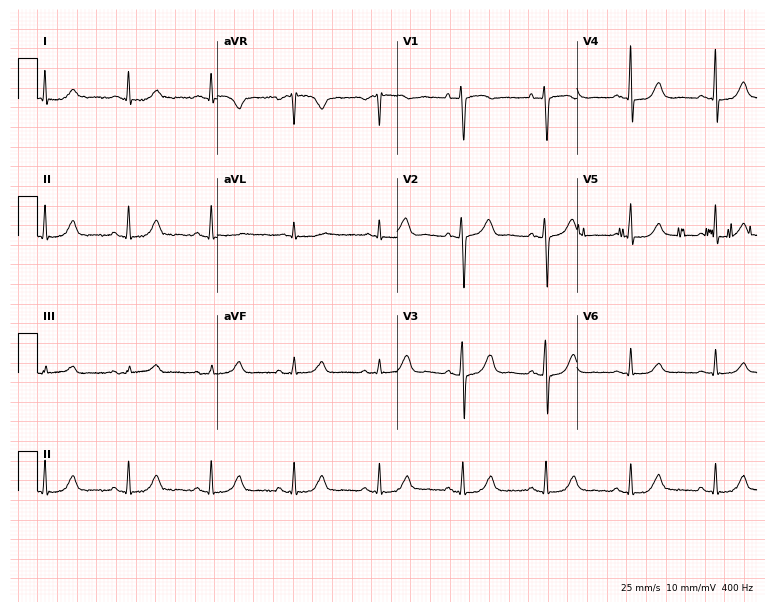
Standard 12-lead ECG recorded from a female patient, 78 years old (7.3-second recording at 400 Hz). Read as a normal ECG.